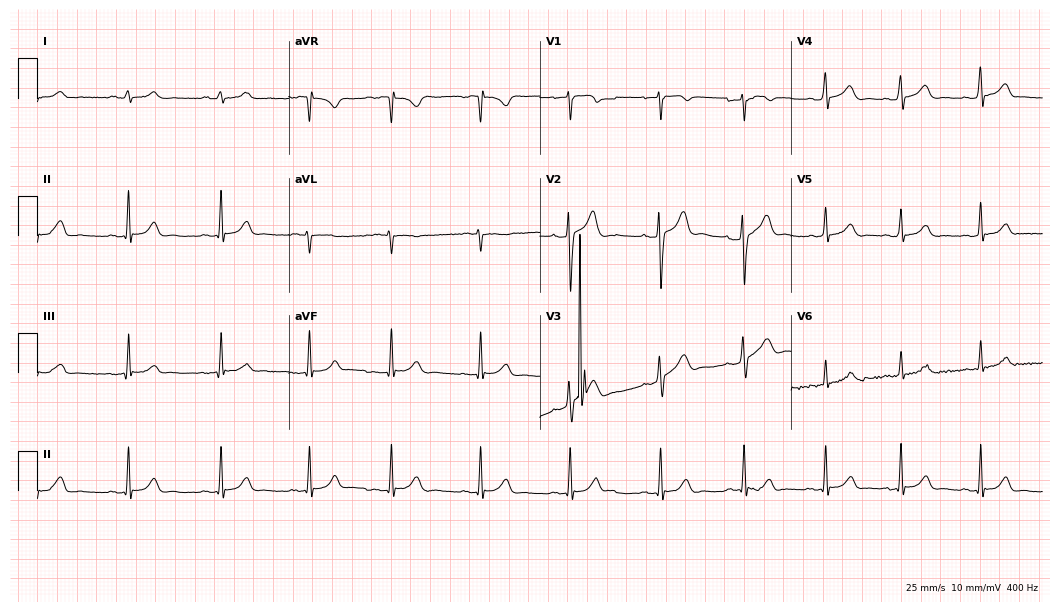
Standard 12-lead ECG recorded from a male, 18 years old. None of these six findings is recorded: first-degree AV block, right bundle branch block, left bundle branch block, sinus bradycardia, atrial fibrillation, sinus tachycardia. Findings outside these six are not listed.